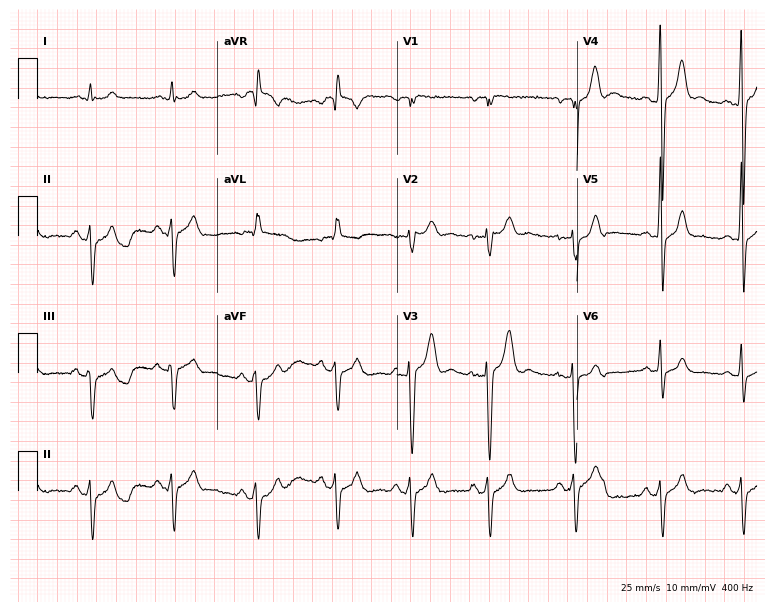
Resting 12-lead electrocardiogram. Patient: a 24-year-old male. None of these six findings is recorded: first-degree AV block, right bundle branch block, left bundle branch block, sinus bradycardia, atrial fibrillation, sinus tachycardia.